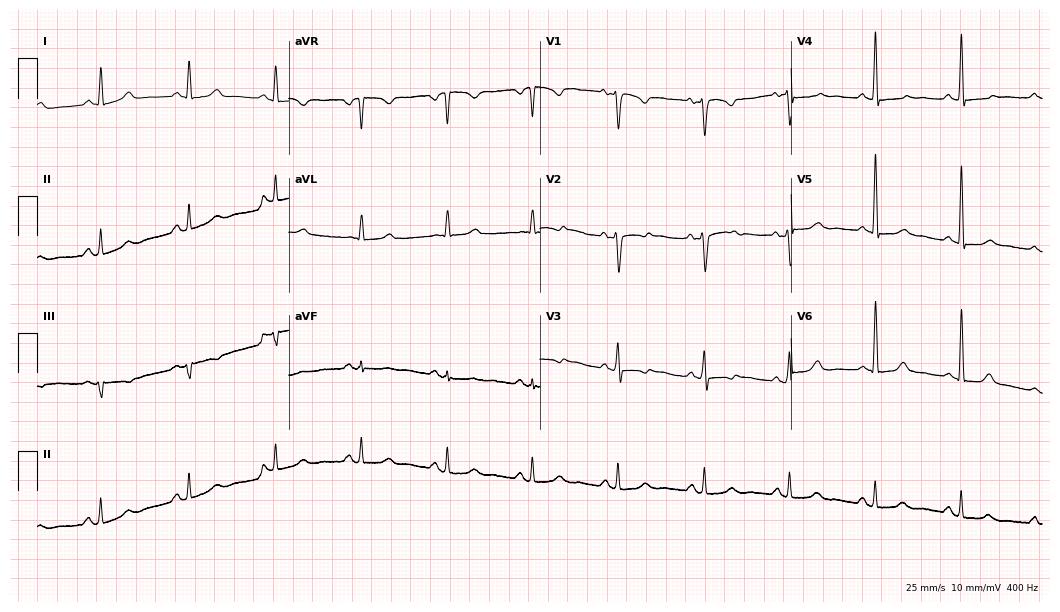
ECG — a 44-year-old woman. Labelled as a normal ECG.